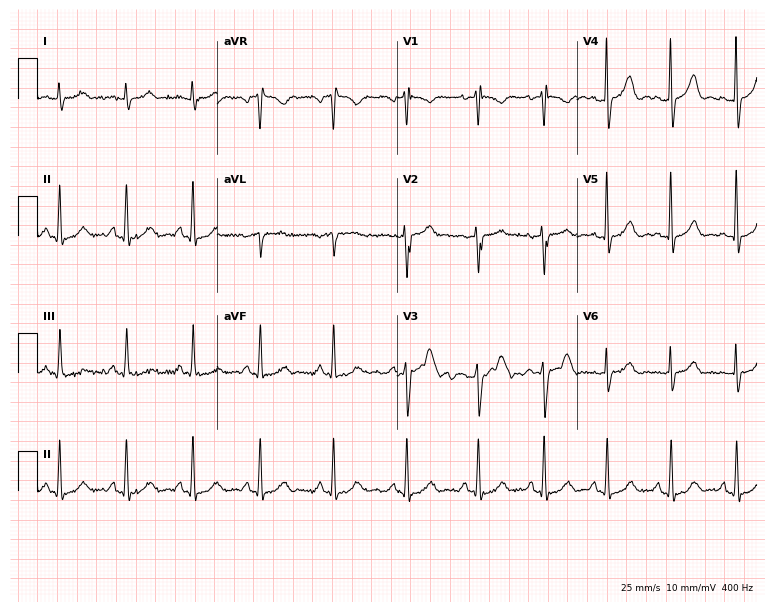
Resting 12-lead electrocardiogram (7.3-second recording at 400 Hz). Patient: a male, 27 years old. None of these six findings is recorded: first-degree AV block, right bundle branch block (RBBB), left bundle branch block (LBBB), sinus bradycardia, atrial fibrillation (AF), sinus tachycardia.